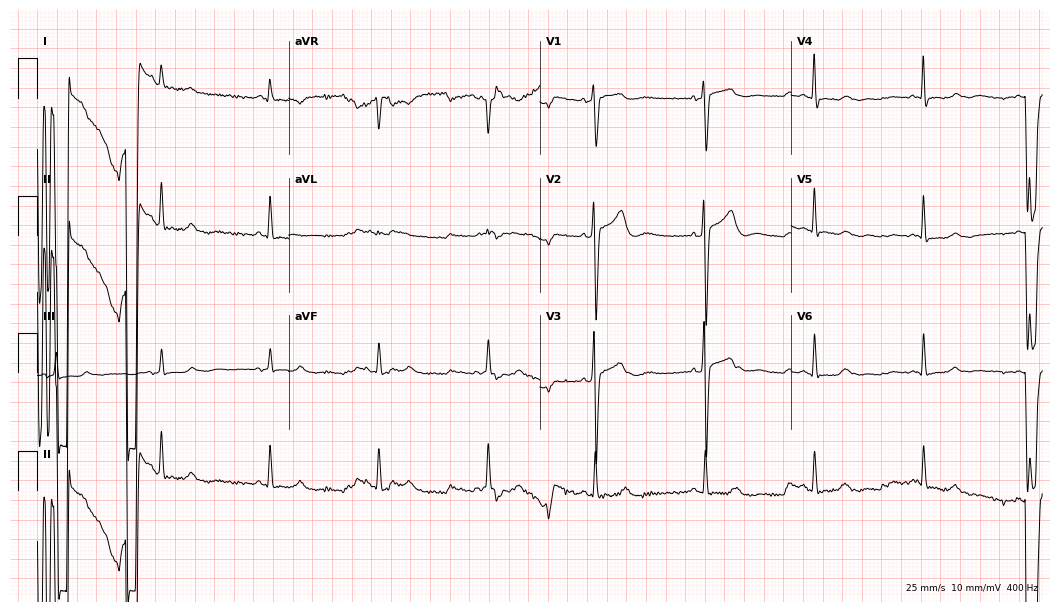
12-lead ECG from a female patient, 60 years old. No first-degree AV block, right bundle branch block, left bundle branch block, sinus bradycardia, atrial fibrillation or sinus tachycardia recorded for this tracing.